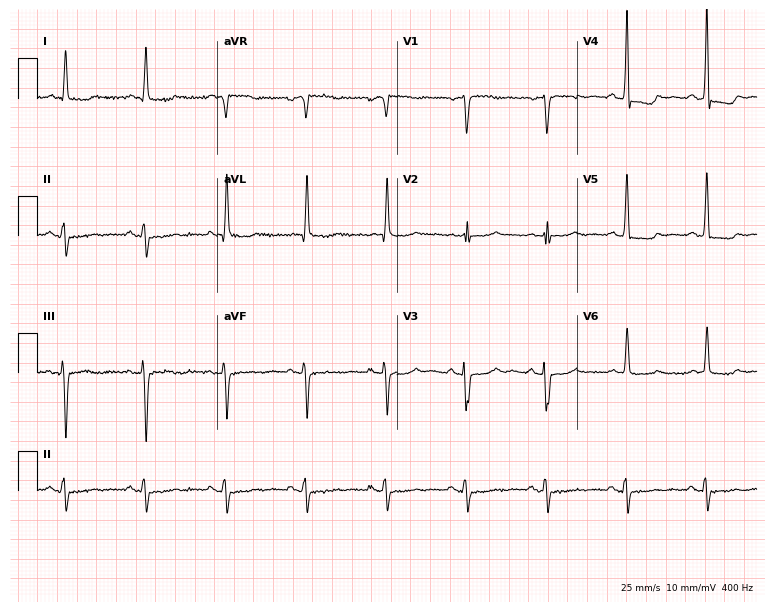
Electrocardiogram, a female, 75 years old. Overall reading on record: normal ECG.